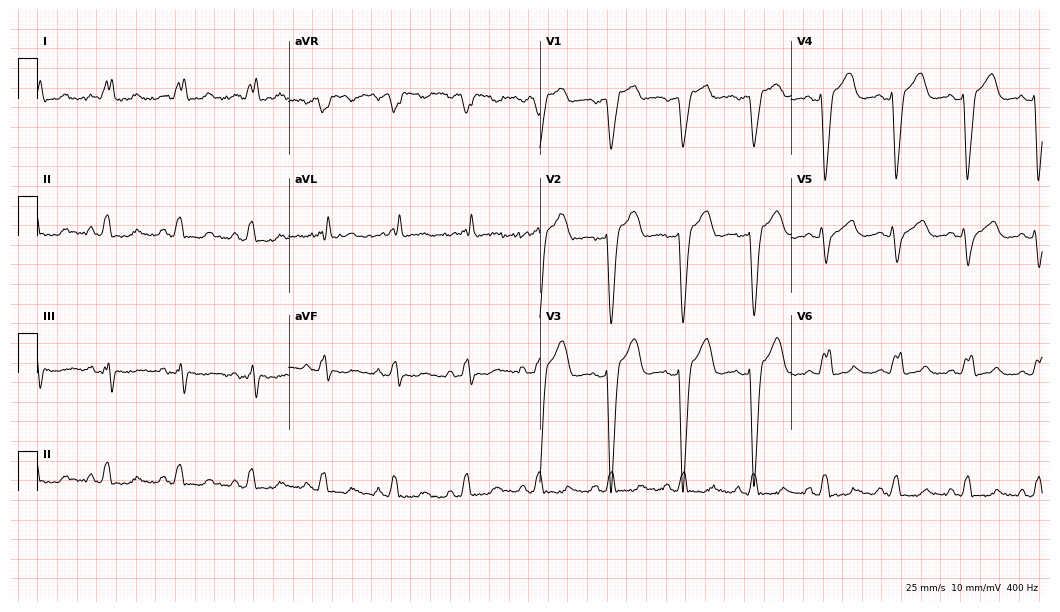
Electrocardiogram, a 77-year-old female. Interpretation includes left bundle branch block.